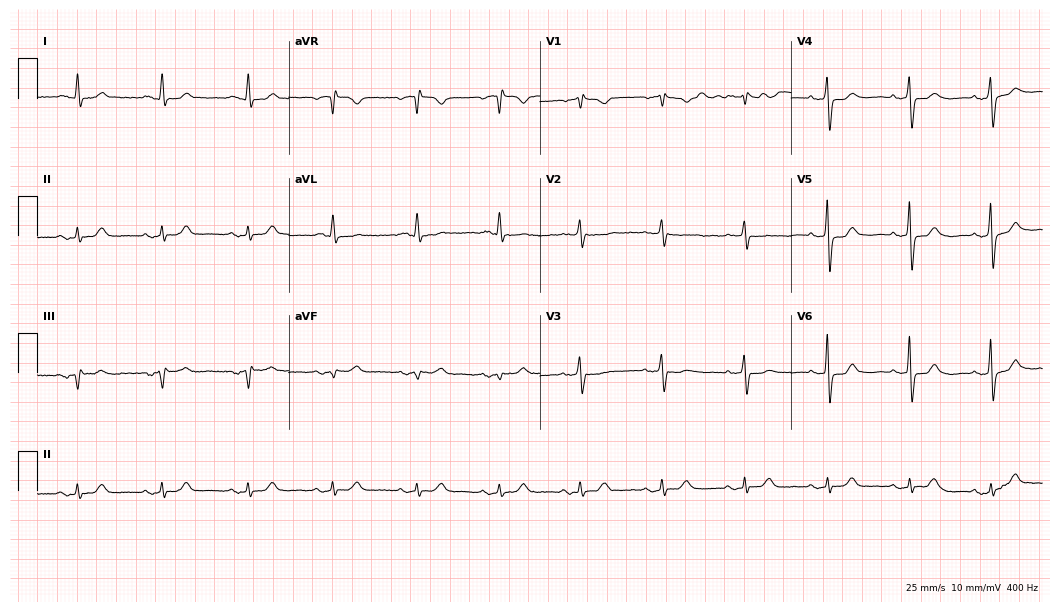
12-lead ECG from a female patient, 82 years old. No first-degree AV block, right bundle branch block, left bundle branch block, sinus bradycardia, atrial fibrillation or sinus tachycardia recorded for this tracing. Other findings, if any, are not listed.